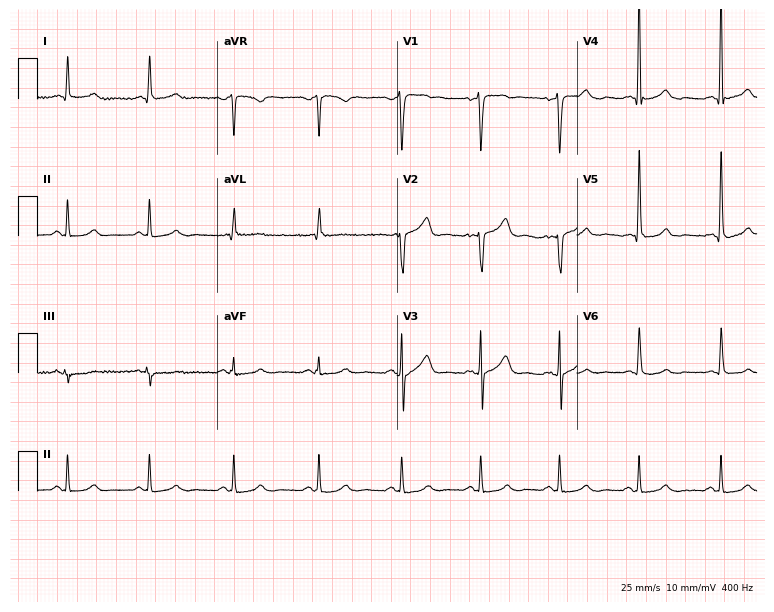
12-lead ECG (7.3-second recording at 400 Hz) from a male, 33 years old. Labelled as a normal ECG.